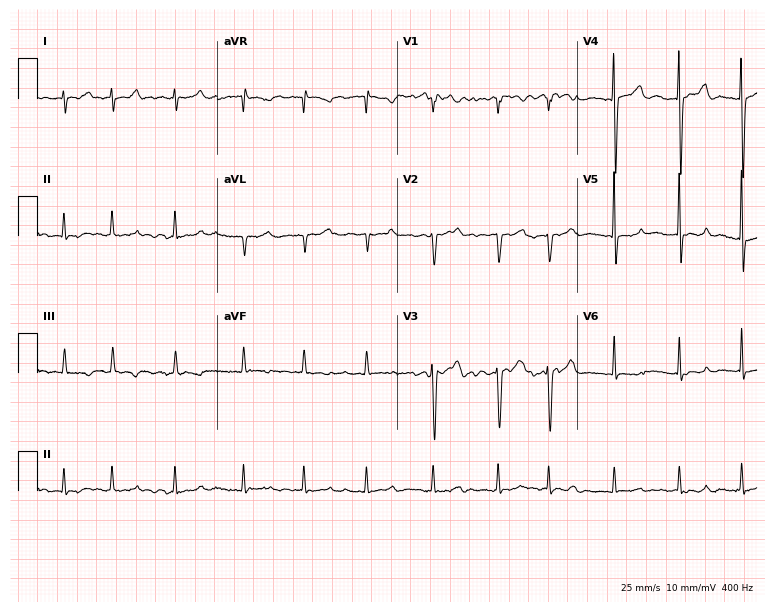
12-lead ECG from a female patient, 77 years old (7.3-second recording at 400 Hz). Shows atrial fibrillation (AF).